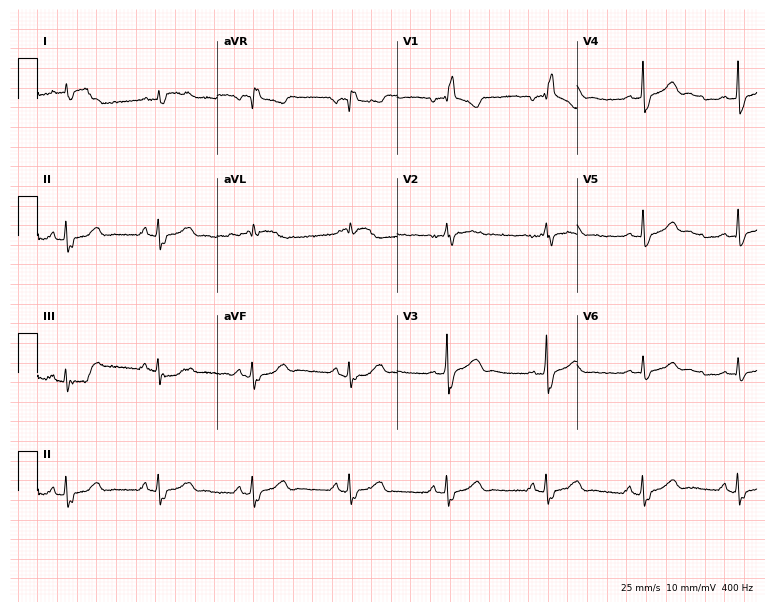
12-lead ECG from a 44-year-old man. Findings include right bundle branch block.